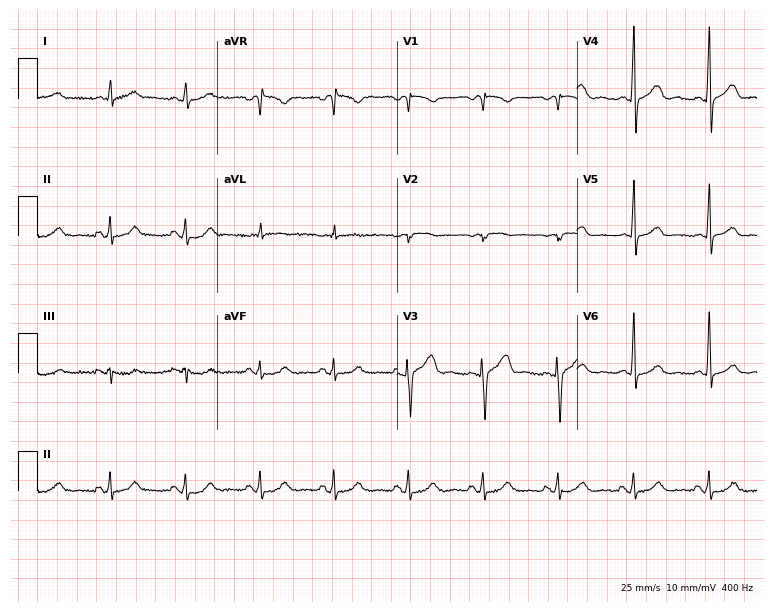
12-lead ECG from a 61-year-old man (7.3-second recording at 400 Hz). No first-degree AV block, right bundle branch block (RBBB), left bundle branch block (LBBB), sinus bradycardia, atrial fibrillation (AF) or sinus tachycardia recorded for this tracing. Other findings, if any, are not listed.